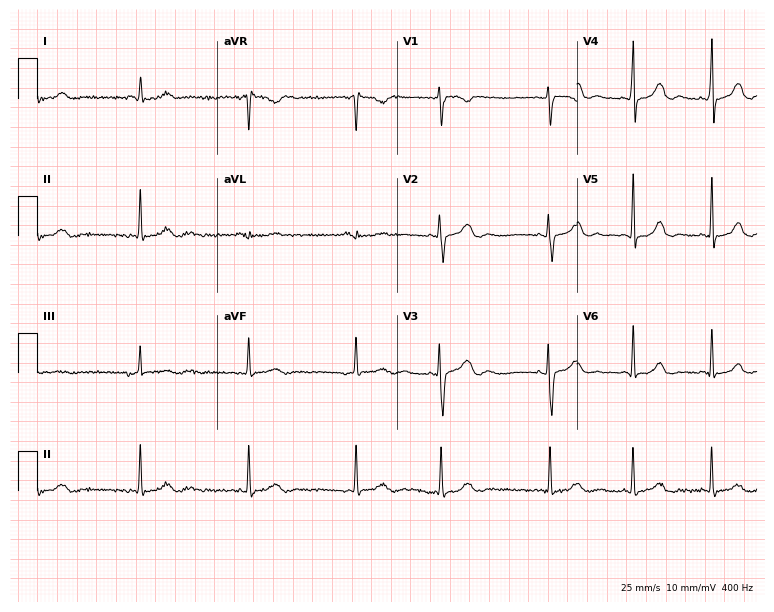
ECG (7.3-second recording at 400 Hz) — a 22-year-old female. Screened for six findings — first-degree AV block, right bundle branch block (RBBB), left bundle branch block (LBBB), sinus bradycardia, atrial fibrillation (AF), sinus tachycardia — none is recorded.